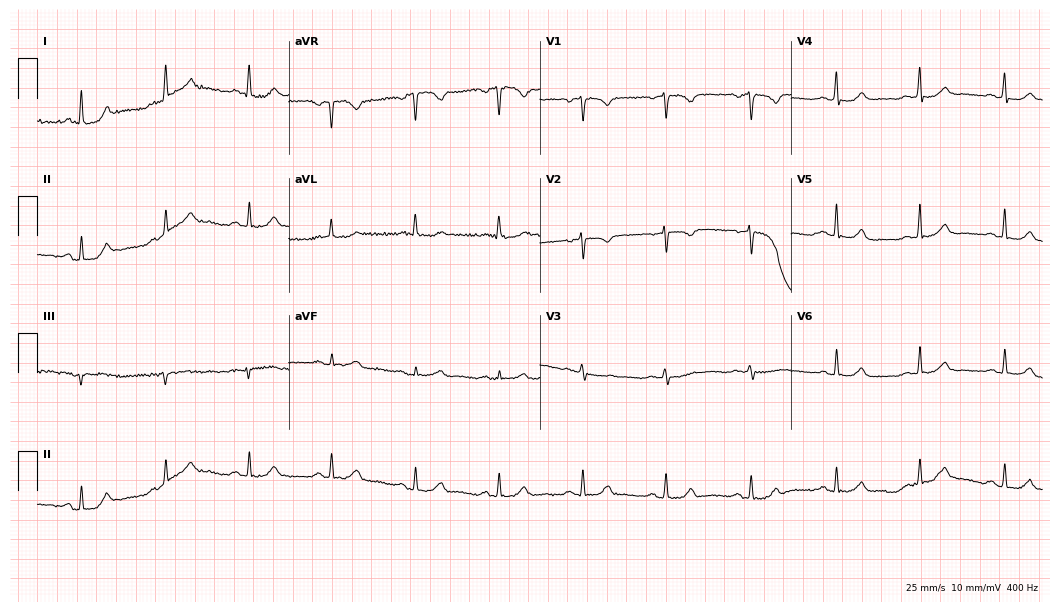
Standard 12-lead ECG recorded from a 52-year-old female patient. None of these six findings is recorded: first-degree AV block, right bundle branch block (RBBB), left bundle branch block (LBBB), sinus bradycardia, atrial fibrillation (AF), sinus tachycardia. Findings outside these six are not listed.